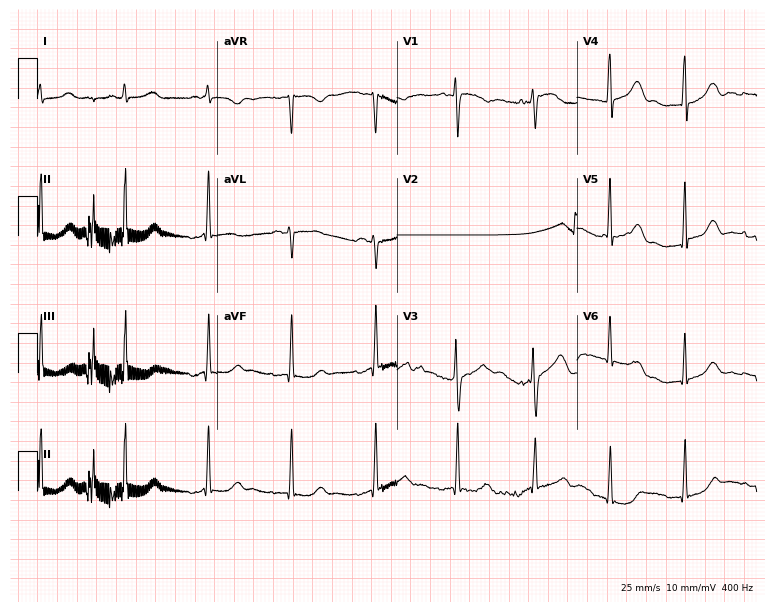
Resting 12-lead electrocardiogram (7.3-second recording at 400 Hz). Patient: a female, 42 years old. Read as a normal ECG.